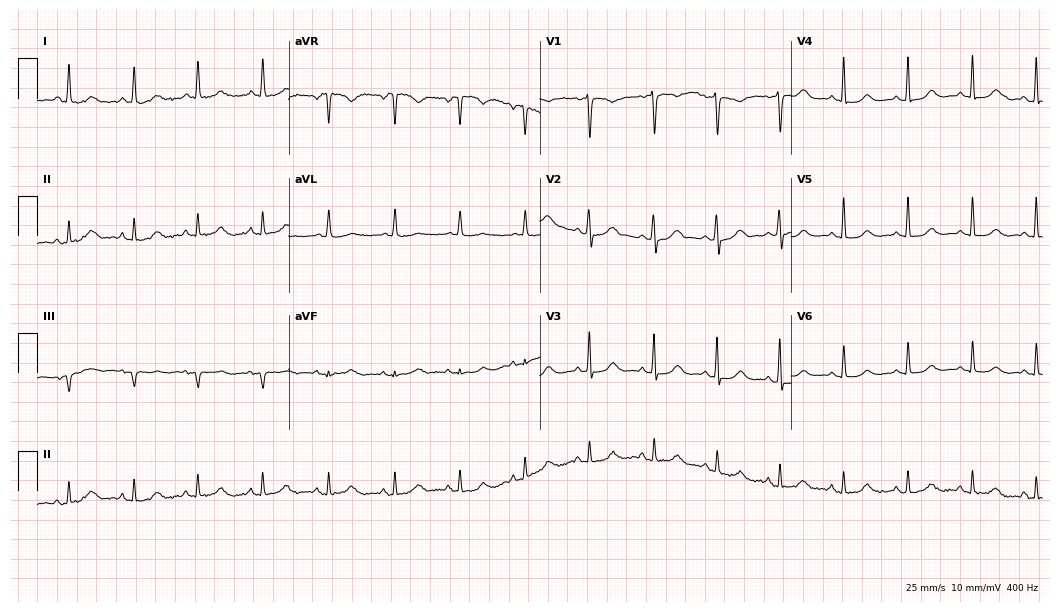
12-lead ECG from a 39-year-old woman (10.2-second recording at 400 Hz). Recorded interpretation: within normal limits.